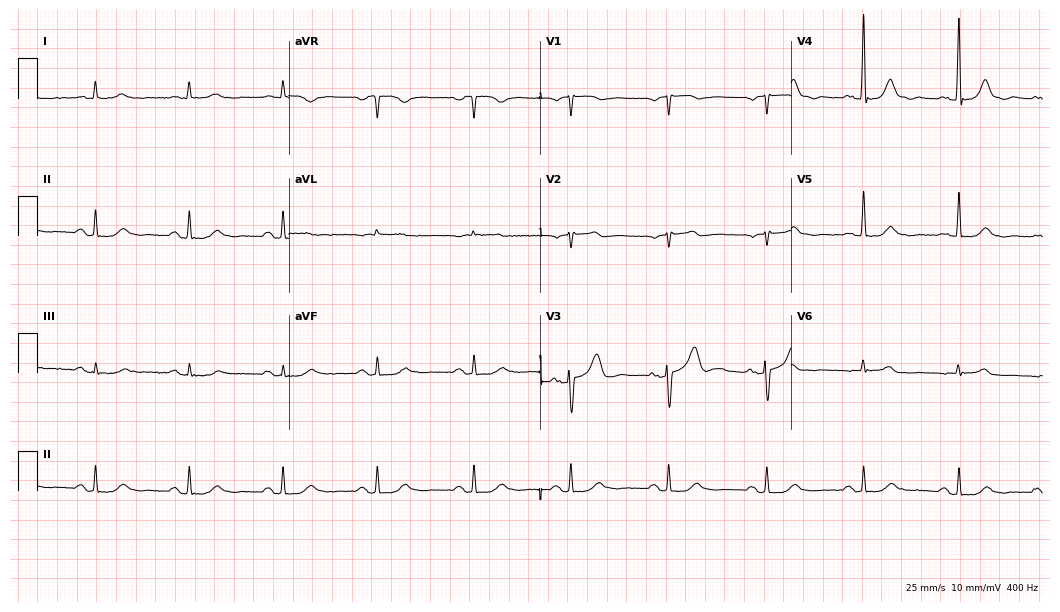
Standard 12-lead ECG recorded from a man, 68 years old. Read as a normal ECG.